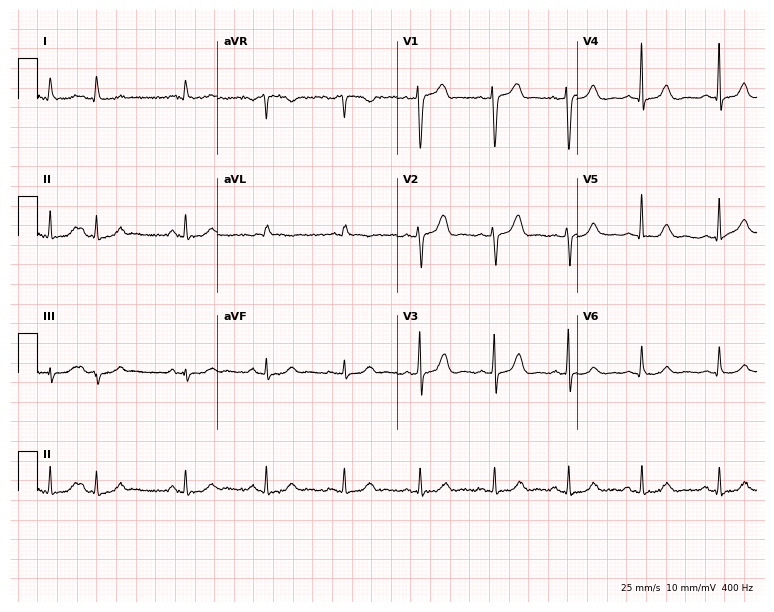
ECG (7.3-second recording at 400 Hz) — a female patient, 56 years old. Screened for six findings — first-degree AV block, right bundle branch block, left bundle branch block, sinus bradycardia, atrial fibrillation, sinus tachycardia — none is recorded. Only these six findings were labelled.